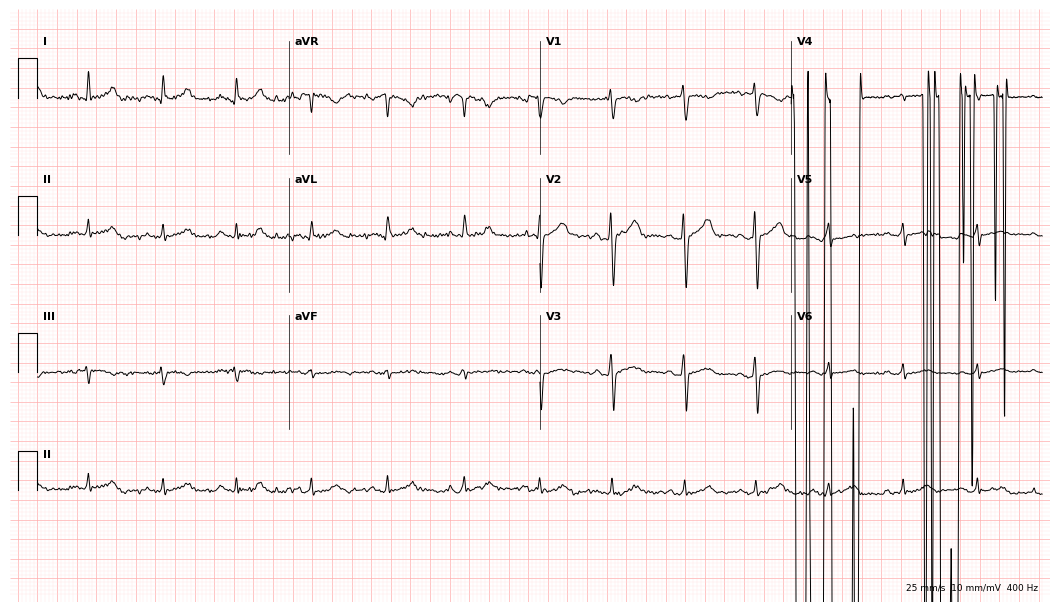
12-lead ECG from a 40-year-old male patient (10.2-second recording at 400 Hz). No first-degree AV block, right bundle branch block (RBBB), left bundle branch block (LBBB), sinus bradycardia, atrial fibrillation (AF) or sinus tachycardia recorded for this tracing. Findings outside these six are not listed.